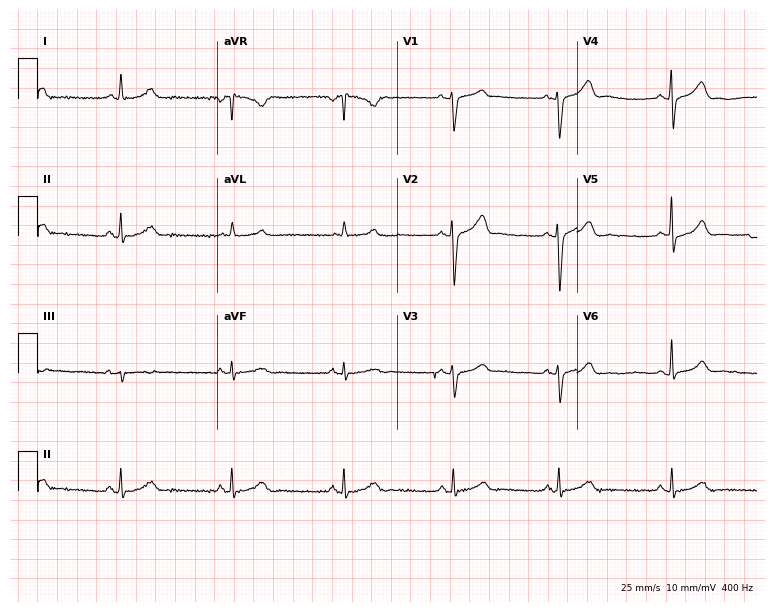
Resting 12-lead electrocardiogram. Patient: a female, 43 years old. Read as a normal ECG.